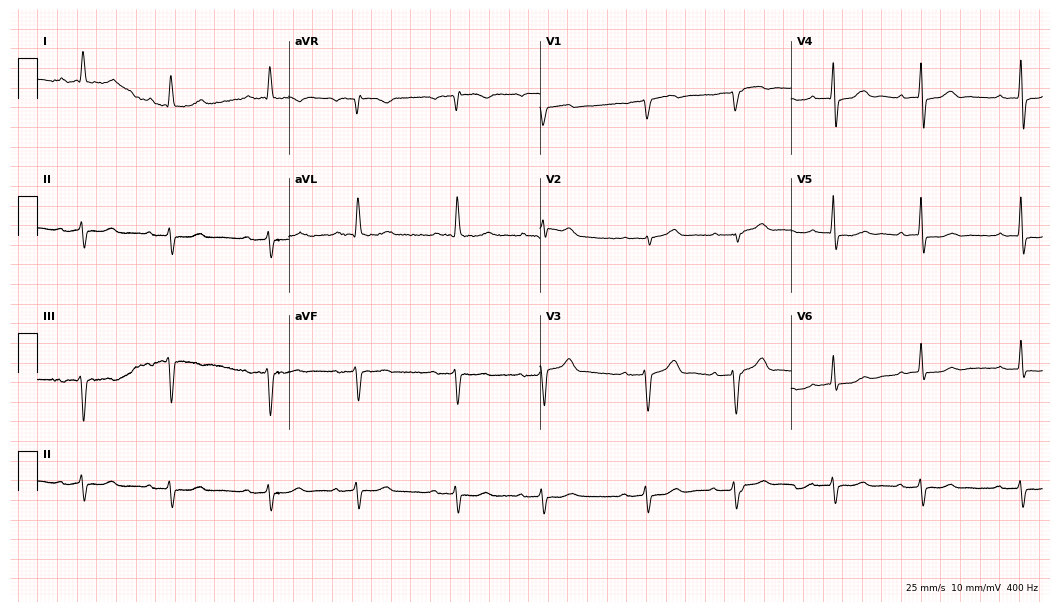
Resting 12-lead electrocardiogram. Patient: an 85-year-old male. None of these six findings is recorded: first-degree AV block, right bundle branch block, left bundle branch block, sinus bradycardia, atrial fibrillation, sinus tachycardia. Findings outside these six are not listed.